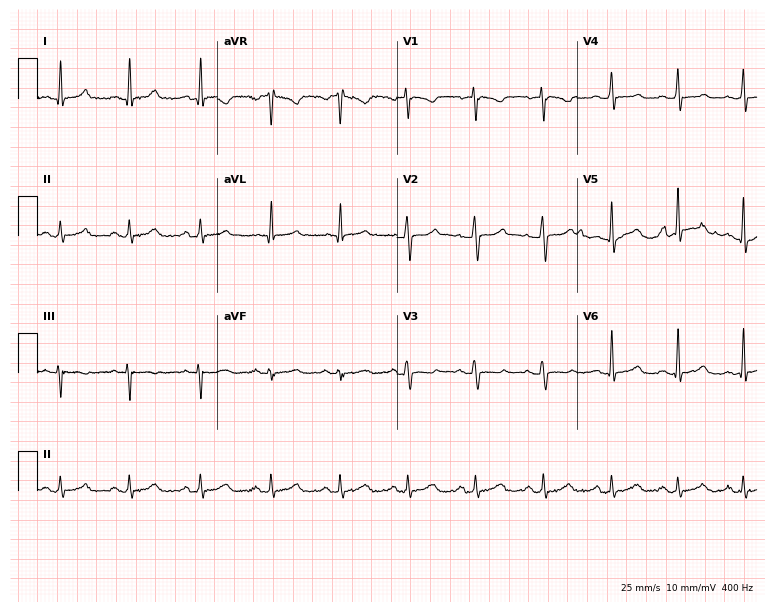
12-lead ECG from a 29-year-old female patient. Labelled as a normal ECG.